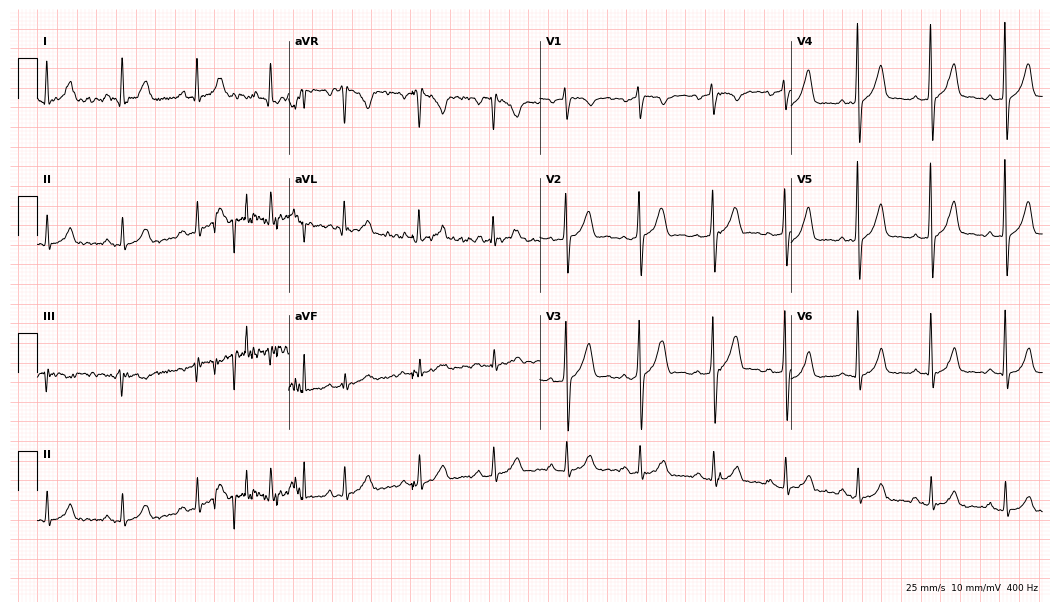
ECG — a 52-year-old male. Labelled as a normal ECG.